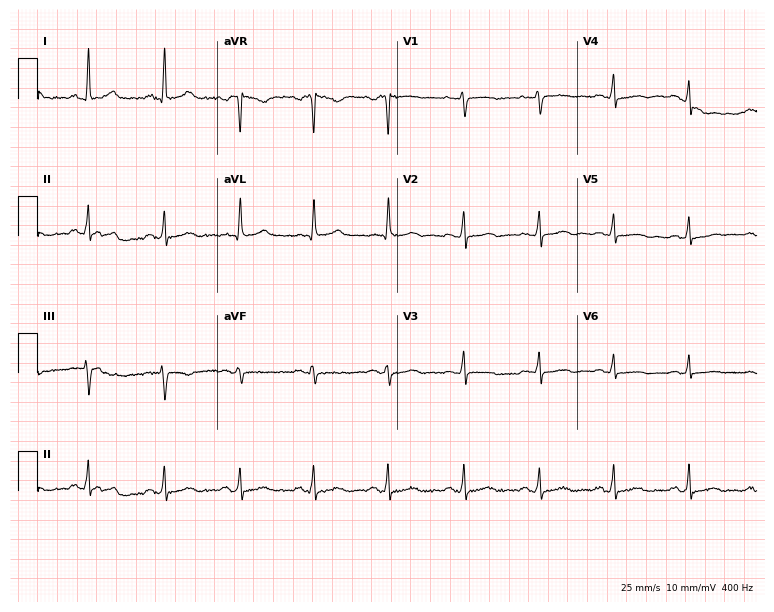
12-lead ECG from a 47-year-old female patient. Screened for six findings — first-degree AV block, right bundle branch block, left bundle branch block, sinus bradycardia, atrial fibrillation, sinus tachycardia — none is recorded. Other findings, if any, are not listed.